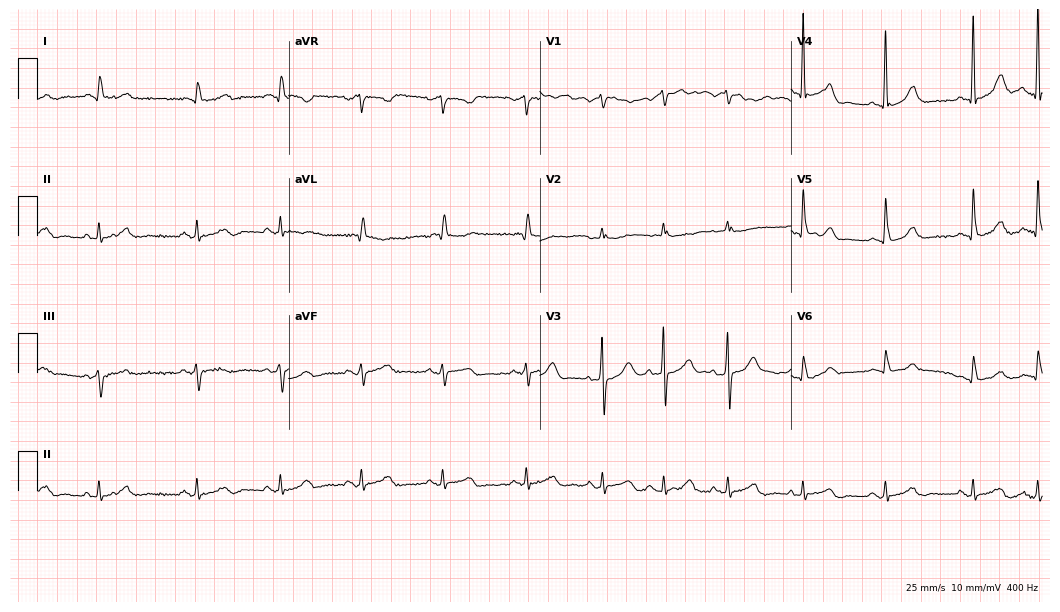
12-lead ECG (10.2-second recording at 400 Hz) from an 83-year-old man. Labelled as a normal ECG.